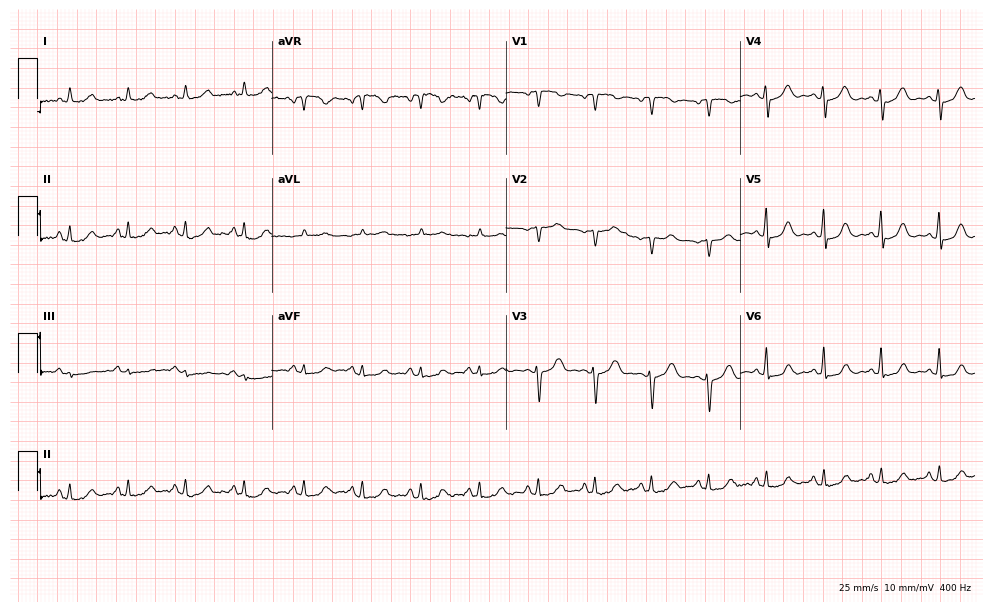
Resting 12-lead electrocardiogram (9.6-second recording at 400 Hz). Patient: a 57-year-old female. Read as a normal ECG.